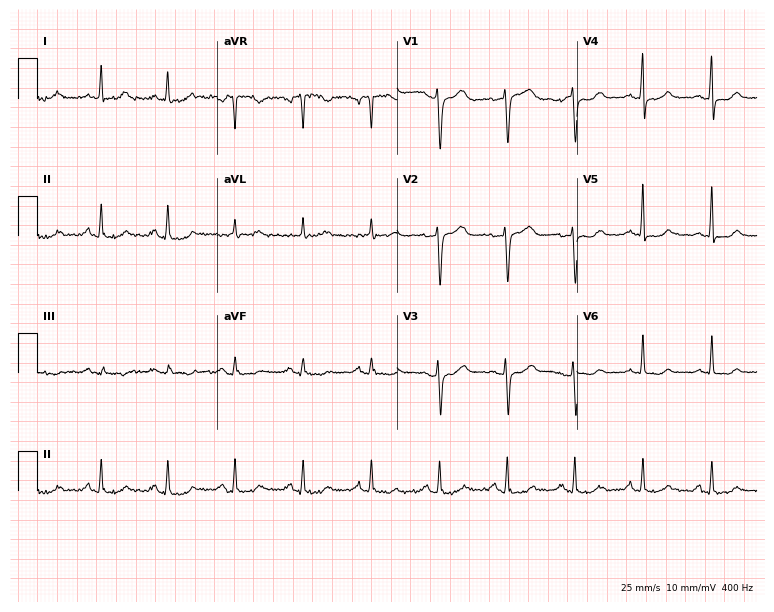
12-lead ECG from a 56-year-old female patient. Labelled as a normal ECG.